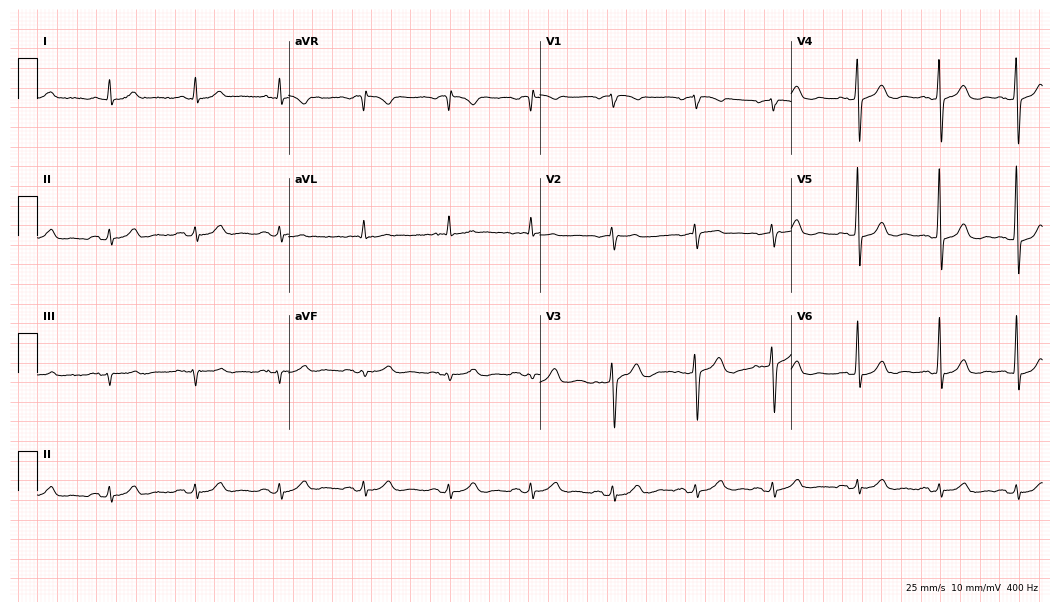
Electrocardiogram (10.2-second recording at 400 Hz), a 73-year-old male. Overall reading on record: normal ECG.